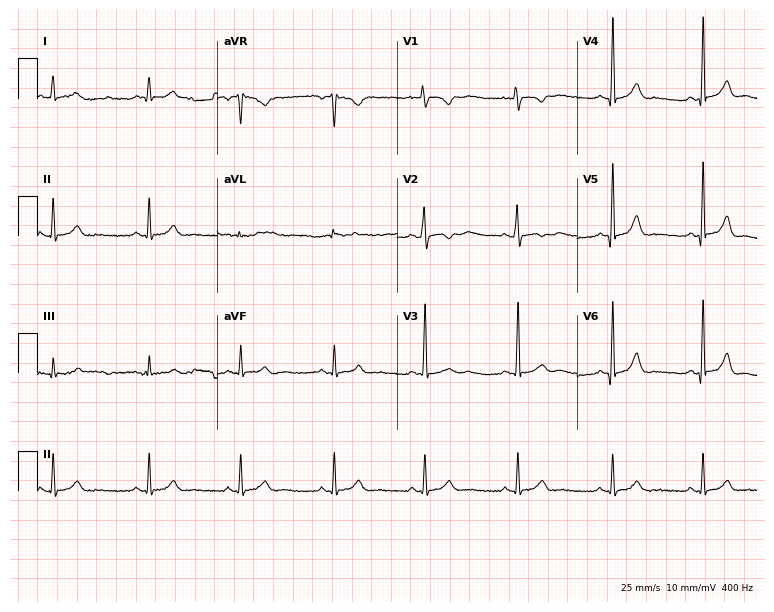
Standard 12-lead ECG recorded from an 18-year-old female (7.3-second recording at 400 Hz). Read as a normal ECG.